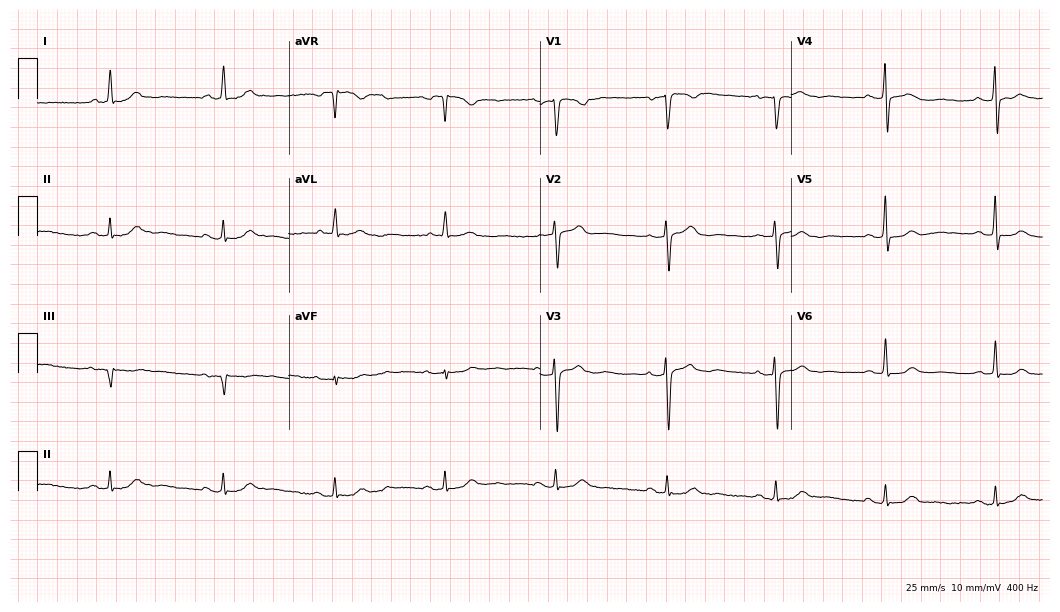
Standard 12-lead ECG recorded from a man, 82 years old. Read as a normal ECG.